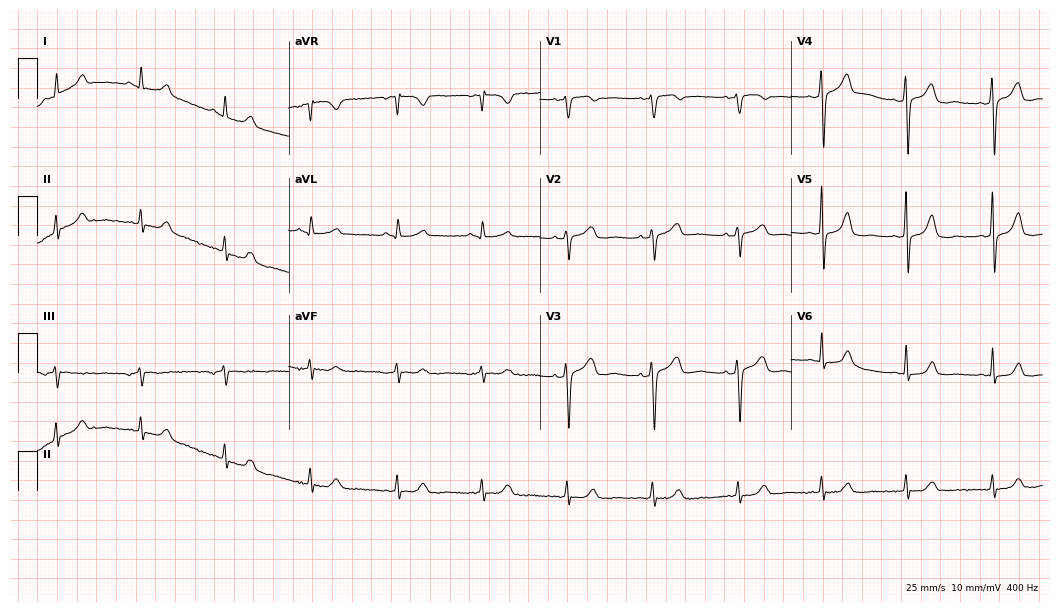
Resting 12-lead electrocardiogram. Patient: a female, 59 years old. Read as a normal ECG.